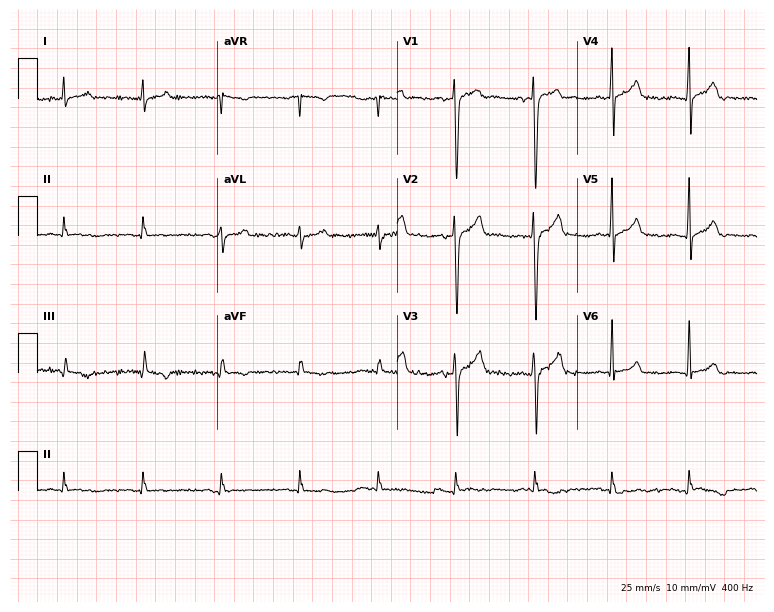
12-lead ECG from a male patient, 31 years old. Labelled as a normal ECG.